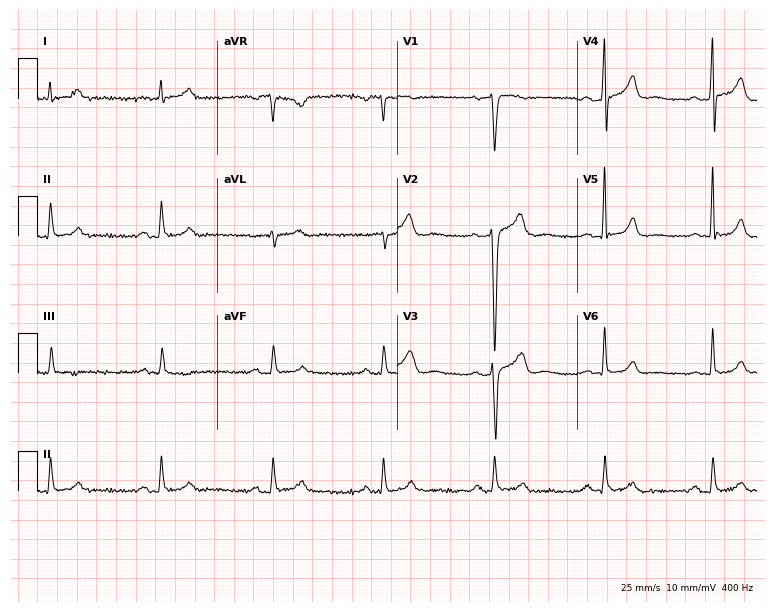
Resting 12-lead electrocardiogram (7.3-second recording at 400 Hz). Patient: a male, 63 years old. Read as a normal ECG.